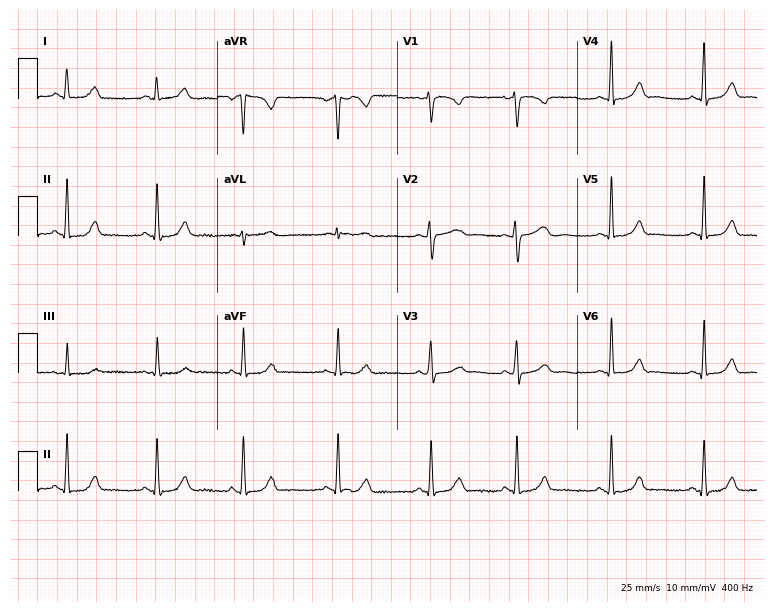
Standard 12-lead ECG recorded from a 36-year-old female patient (7.3-second recording at 400 Hz). Read as a normal ECG.